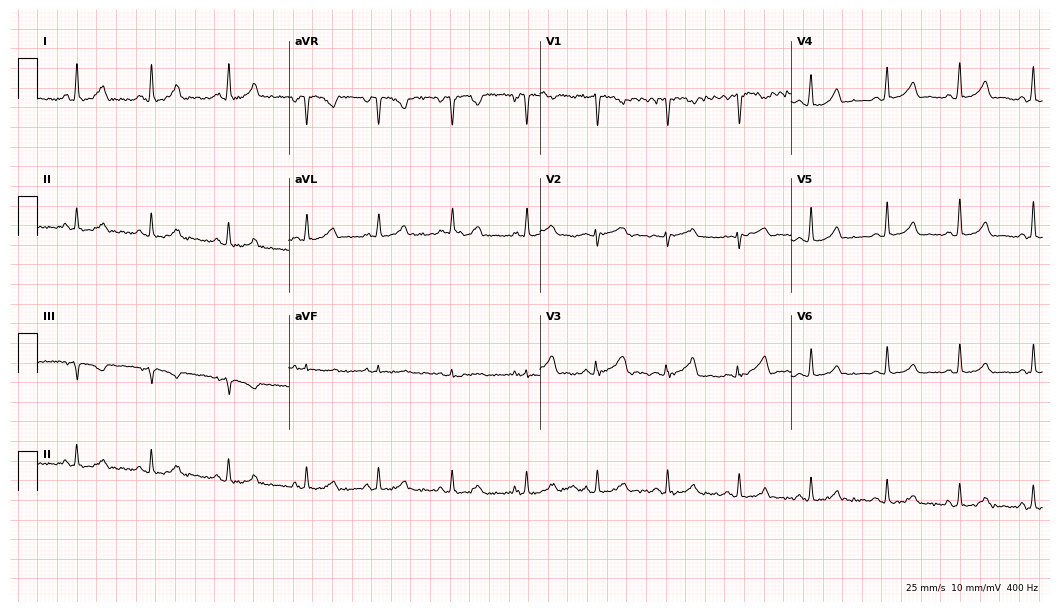
Standard 12-lead ECG recorded from a 39-year-old female patient (10.2-second recording at 400 Hz). Read as a normal ECG.